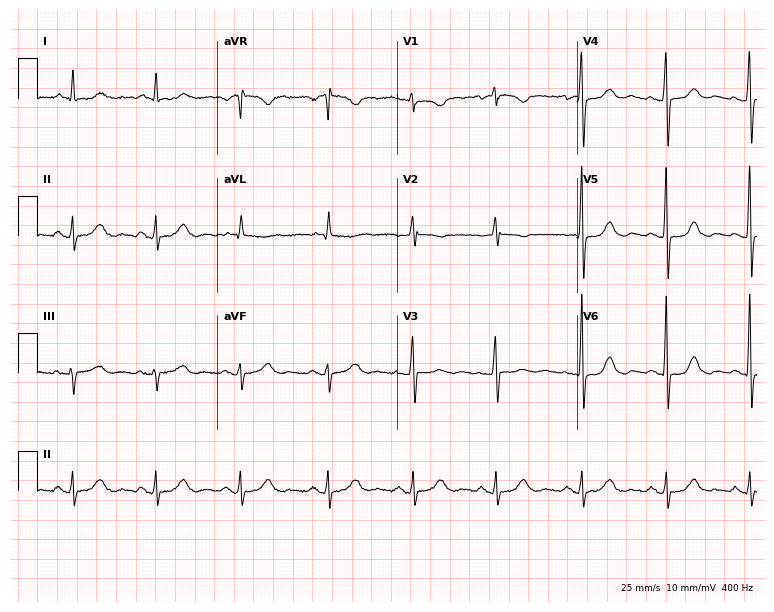
Resting 12-lead electrocardiogram. Patient: a 77-year-old female. Read as a normal ECG.